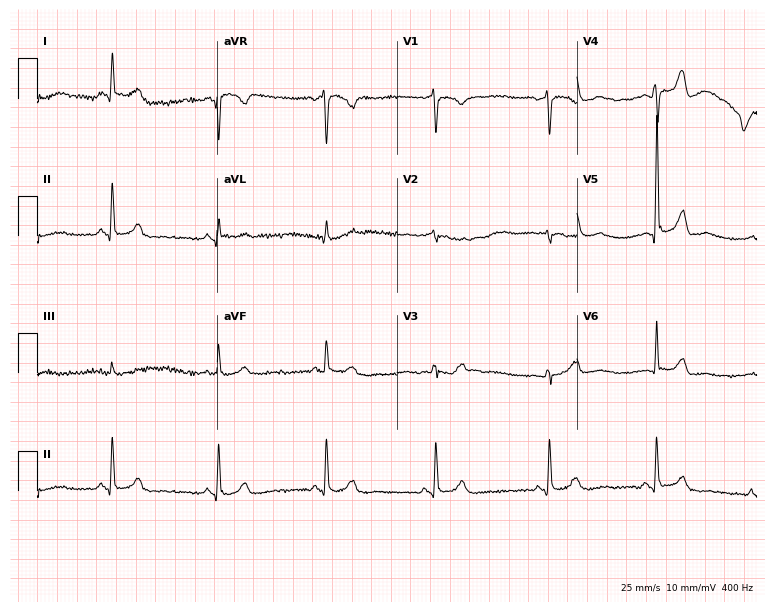
ECG — a male patient, 37 years old. Labelled as a normal ECG.